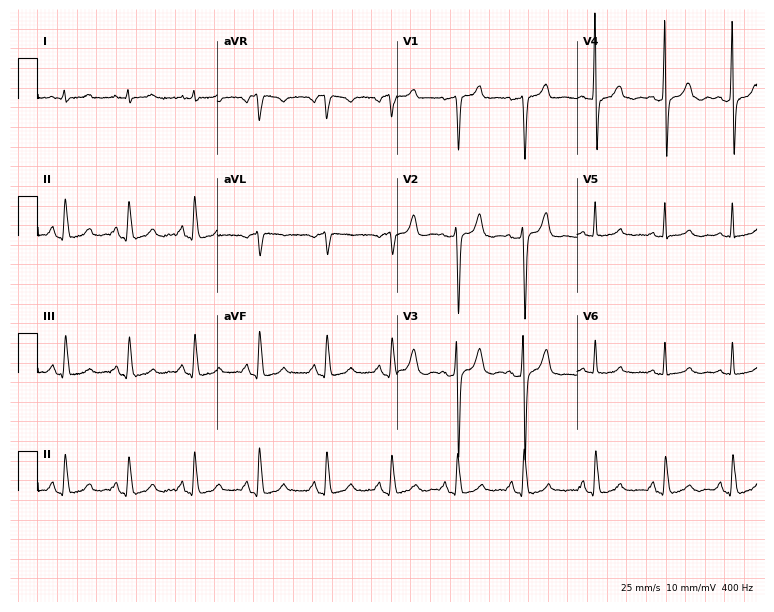
Standard 12-lead ECG recorded from a male, 54 years old. Read as a normal ECG.